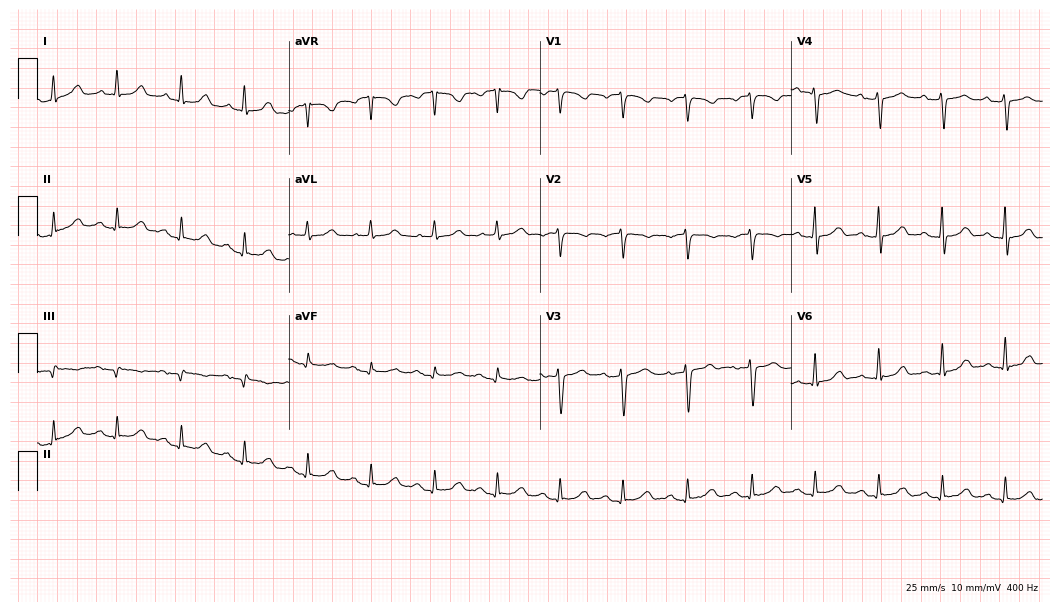
12-lead ECG from a 66-year-old woman (10.2-second recording at 400 Hz). Recorded interpretation: within normal limits.